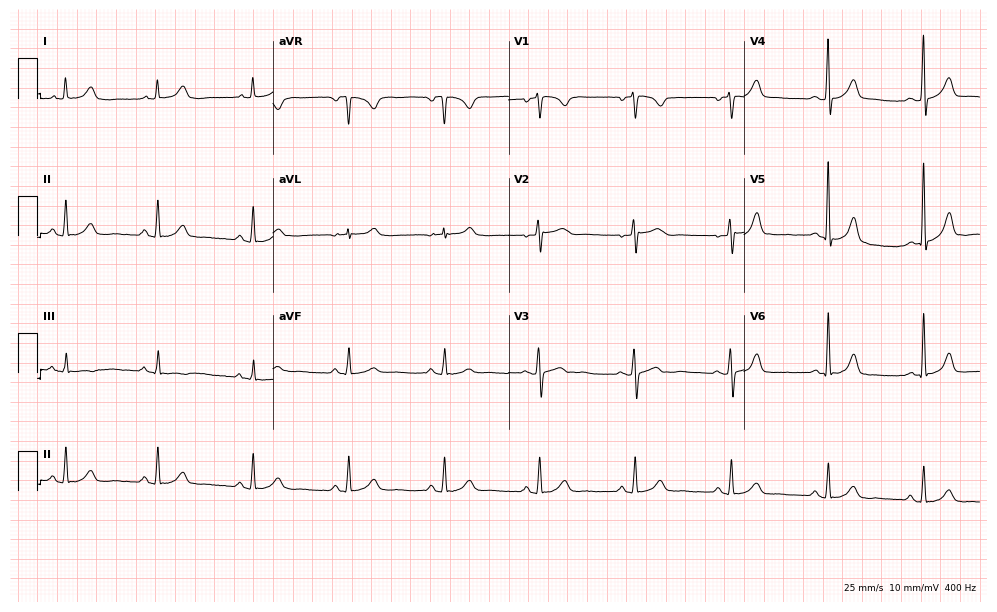
Standard 12-lead ECG recorded from a 46-year-old female. Read as a normal ECG.